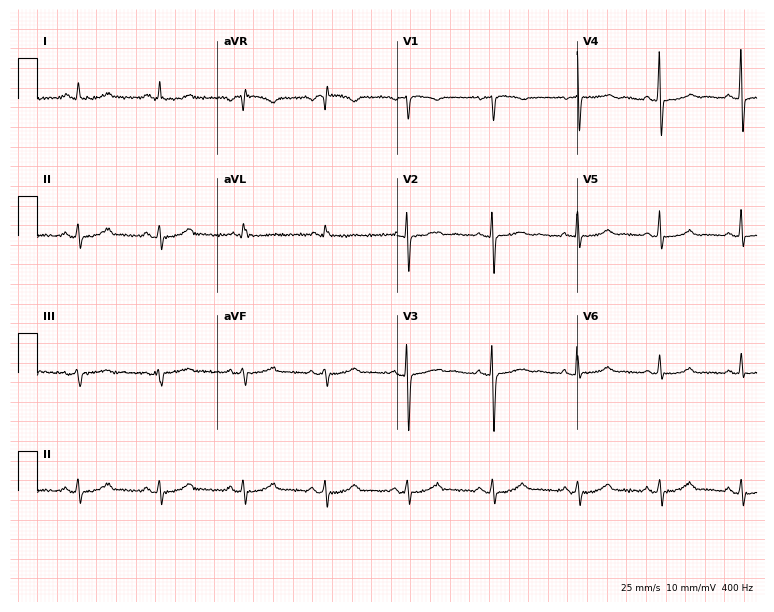
Standard 12-lead ECG recorded from a female patient, 51 years old (7.3-second recording at 400 Hz). None of these six findings is recorded: first-degree AV block, right bundle branch block (RBBB), left bundle branch block (LBBB), sinus bradycardia, atrial fibrillation (AF), sinus tachycardia. Other findings, if any, are not listed.